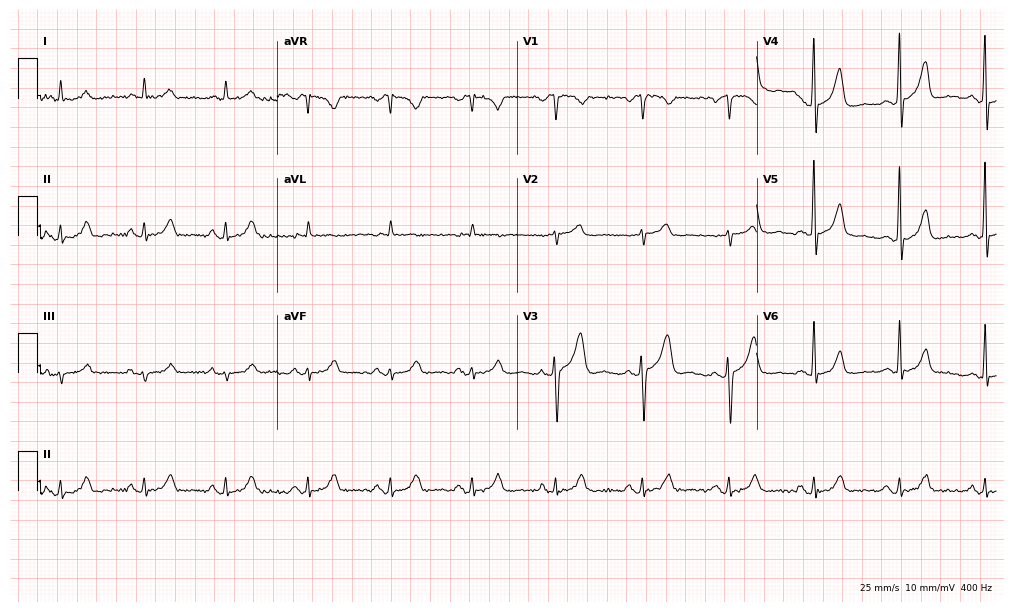
12-lead ECG from a 58-year-old male patient (9.8-second recording at 400 Hz). No first-degree AV block, right bundle branch block, left bundle branch block, sinus bradycardia, atrial fibrillation or sinus tachycardia recorded for this tracing.